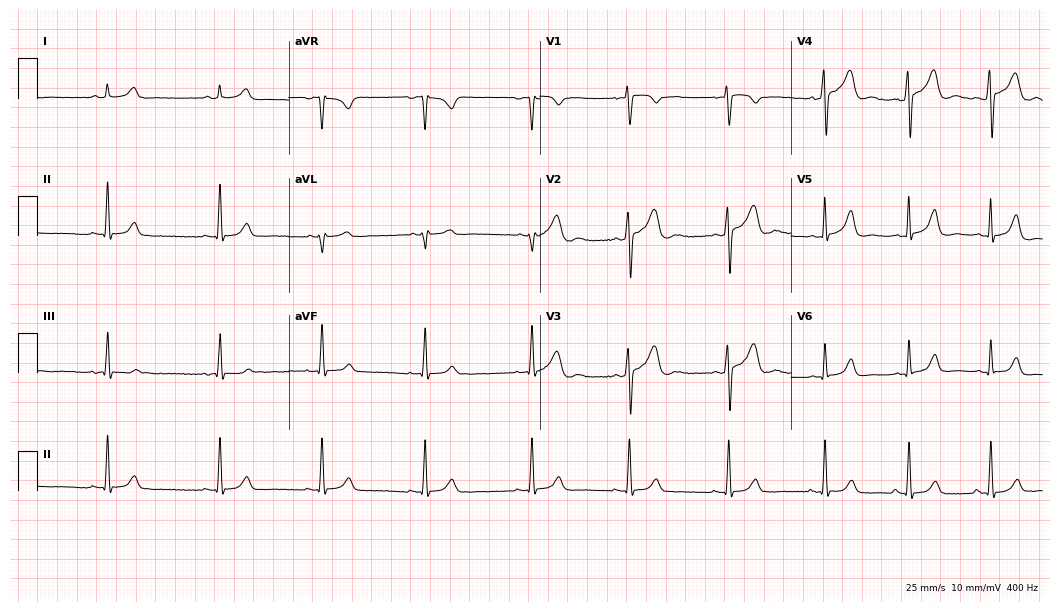
Standard 12-lead ECG recorded from a man, 22 years old. Read as a normal ECG.